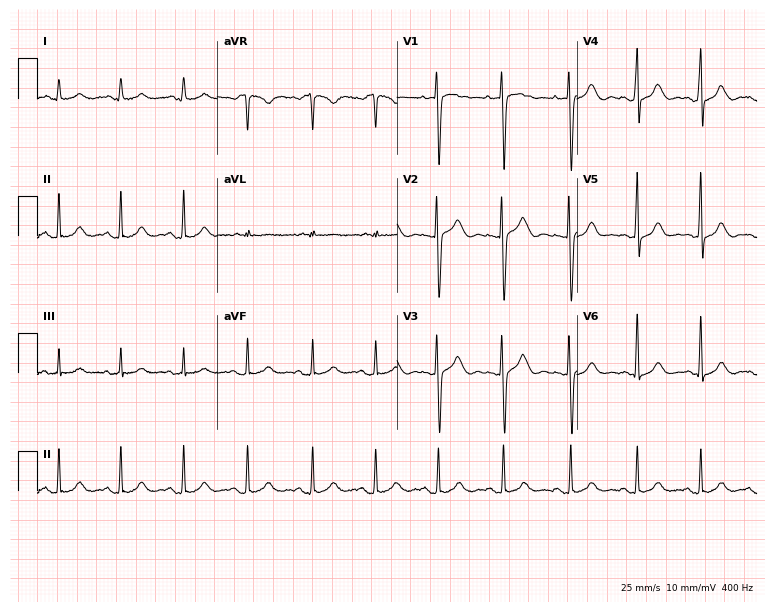
Standard 12-lead ECG recorded from a female patient, 32 years old. None of these six findings is recorded: first-degree AV block, right bundle branch block (RBBB), left bundle branch block (LBBB), sinus bradycardia, atrial fibrillation (AF), sinus tachycardia. Only these six findings were labelled.